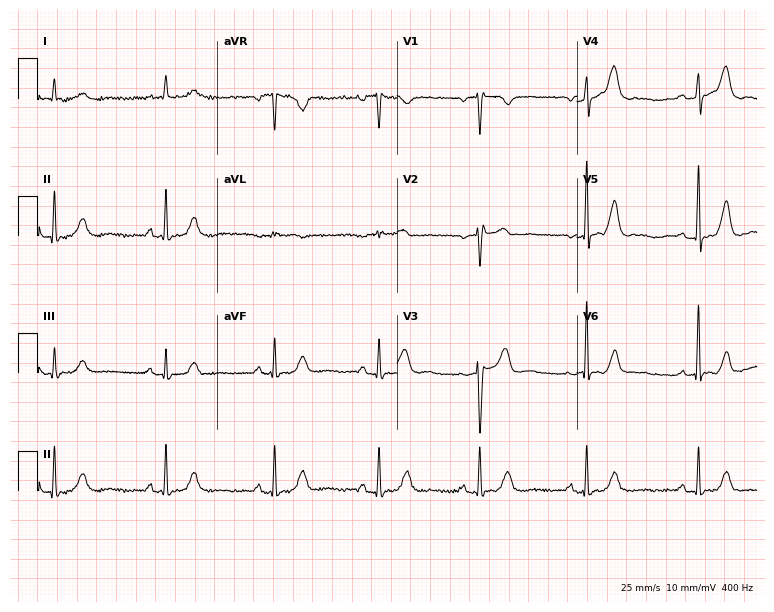
Resting 12-lead electrocardiogram (7.3-second recording at 400 Hz). Patient: a 70-year-old woman. None of these six findings is recorded: first-degree AV block, right bundle branch block, left bundle branch block, sinus bradycardia, atrial fibrillation, sinus tachycardia. Findings outside these six are not listed.